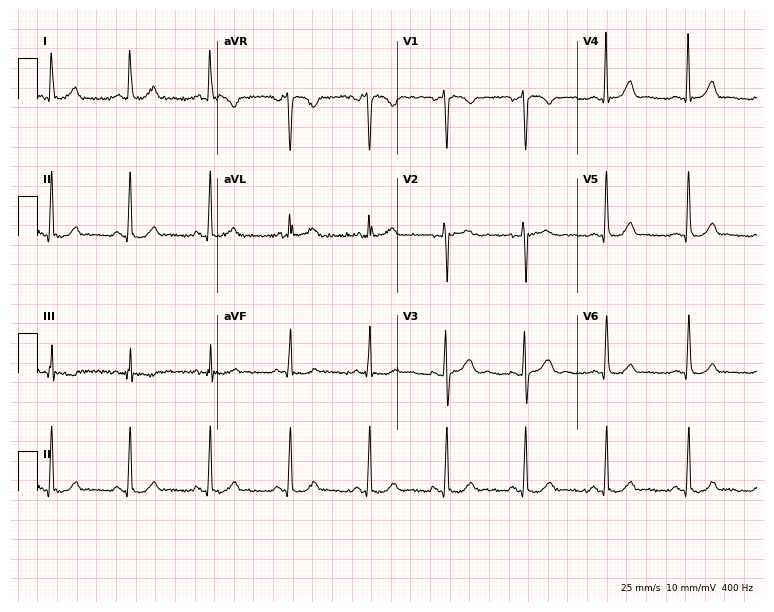
ECG (7.3-second recording at 400 Hz) — a female, 41 years old. Labelled as a normal ECG.